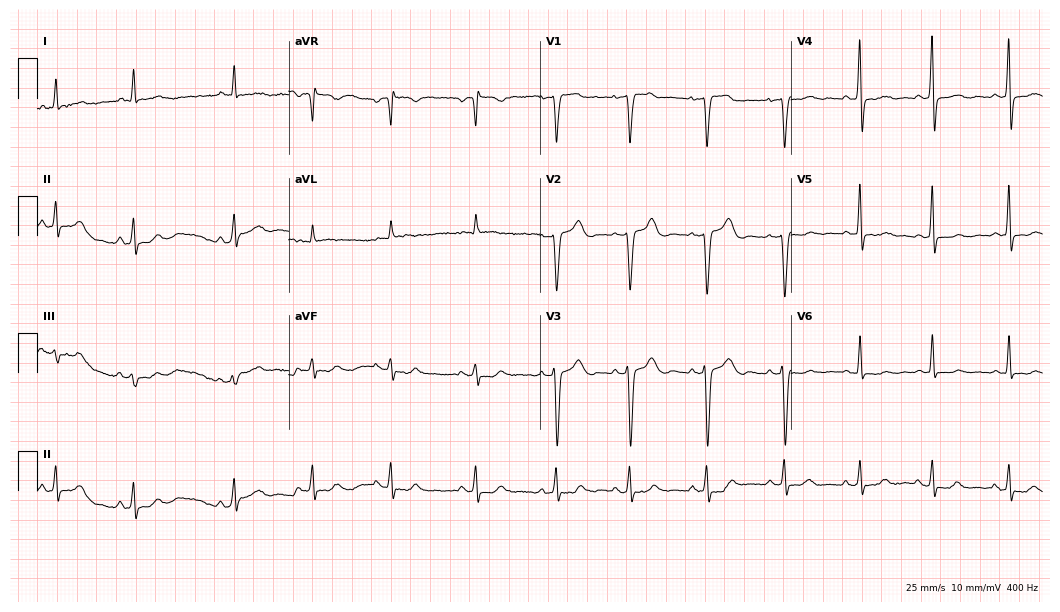
12-lead ECG (10.2-second recording at 400 Hz) from a 40-year-old female patient. Screened for six findings — first-degree AV block, right bundle branch block (RBBB), left bundle branch block (LBBB), sinus bradycardia, atrial fibrillation (AF), sinus tachycardia — none is recorded.